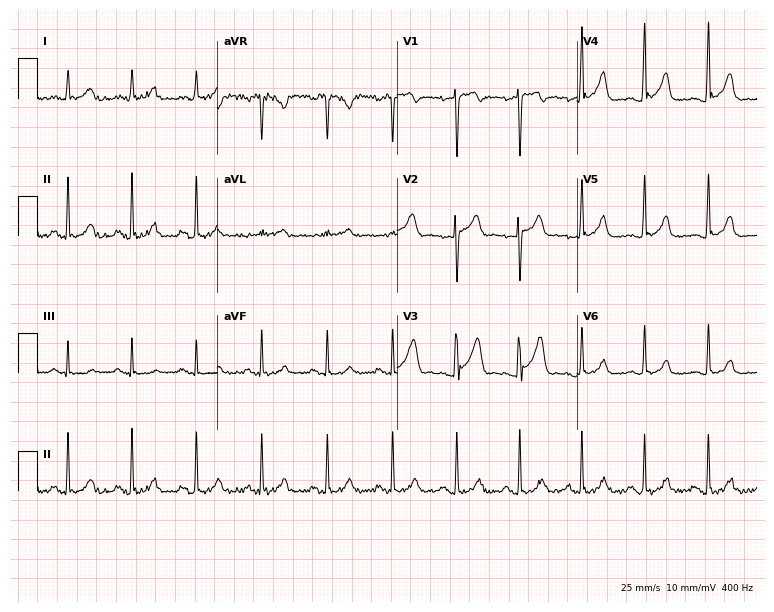
12-lead ECG from a male patient, 34 years old. Labelled as a normal ECG.